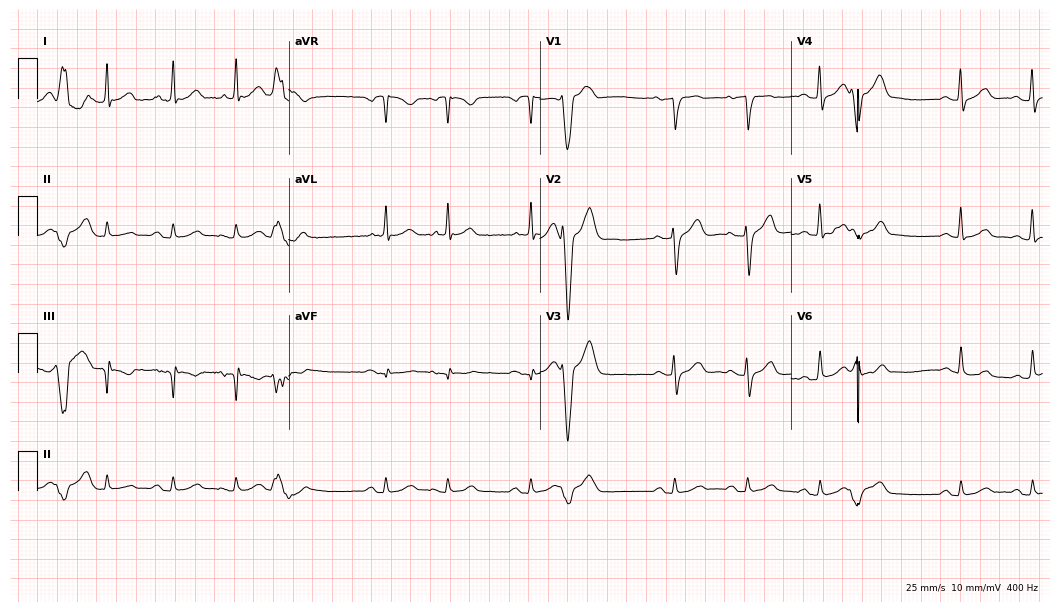
12-lead ECG from a 77-year-old male patient (10.2-second recording at 400 Hz). No first-degree AV block, right bundle branch block, left bundle branch block, sinus bradycardia, atrial fibrillation or sinus tachycardia recorded for this tracing. Findings outside these six are not listed.